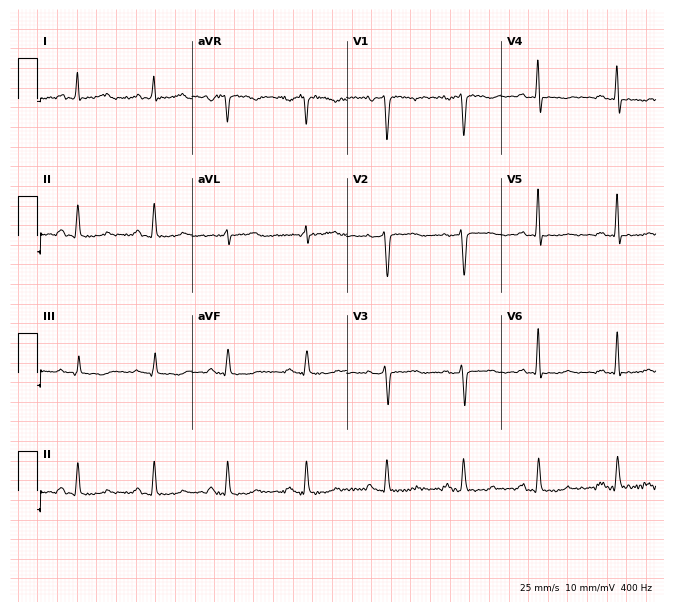
Standard 12-lead ECG recorded from a 48-year-old female. Read as a normal ECG.